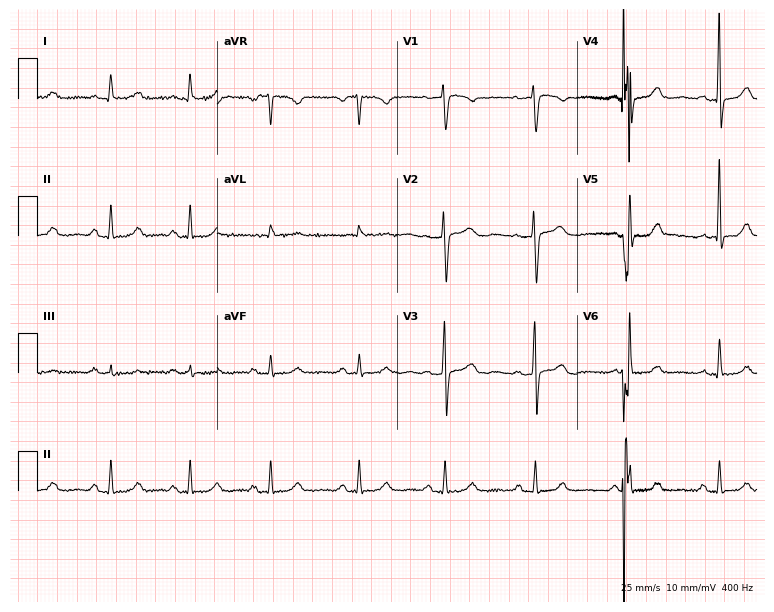
ECG (7.3-second recording at 400 Hz) — a female patient, 56 years old. Labelled as a normal ECG.